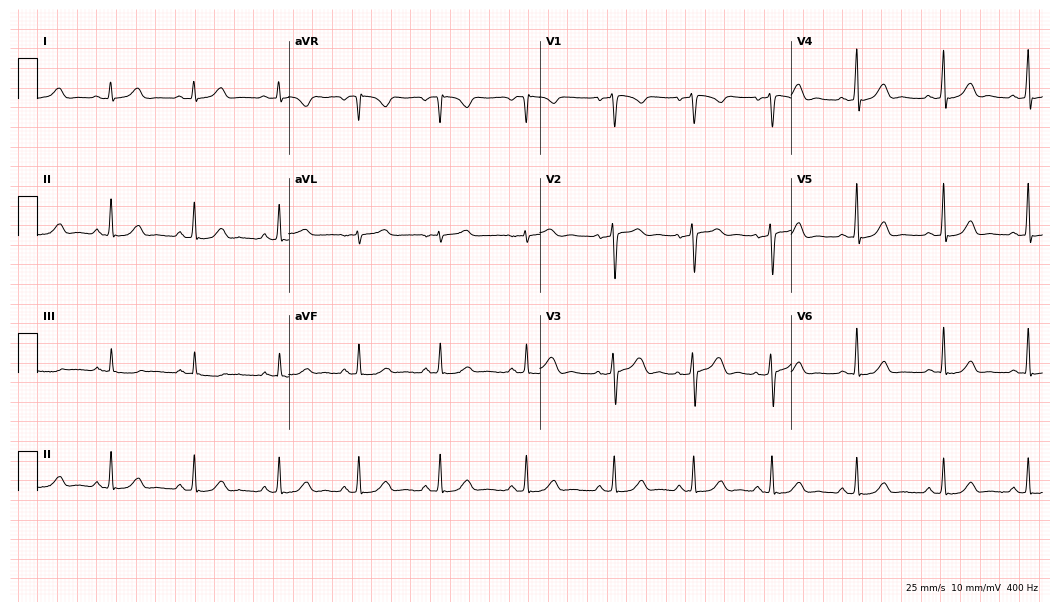
12-lead ECG from a female, 35 years old. Labelled as a normal ECG.